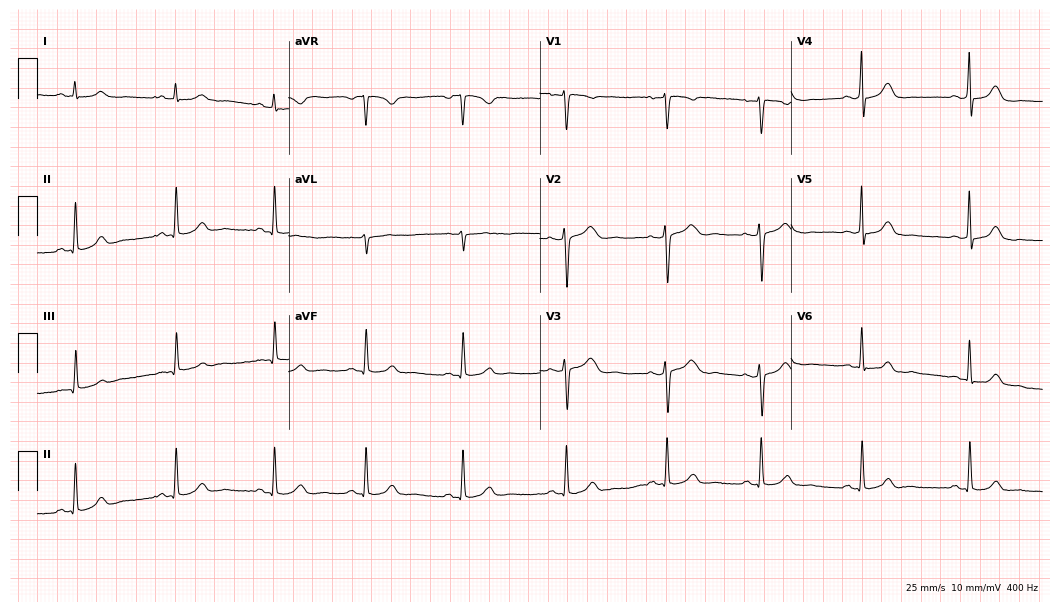
12-lead ECG from a 34-year-old female patient. Screened for six findings — first-degree AV block, right bundle branch block, left bundle branch block, sinus bradycardia, atrial fibrillation, sinus tachycardia — none is recorded.